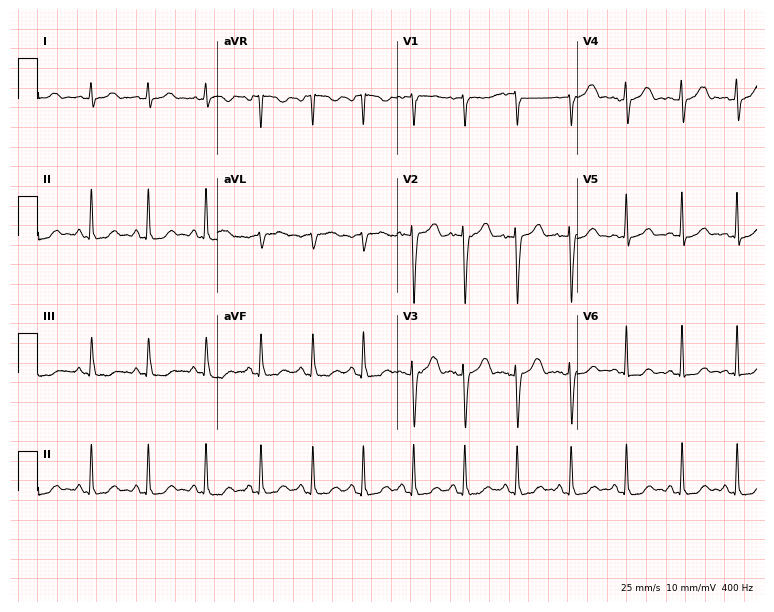
Resting 12-lead electrocardiogram. Patient: a 30-year-old female. The tracing shows sinus tachycardia (a sinus rate of 100 beats per minute or more).